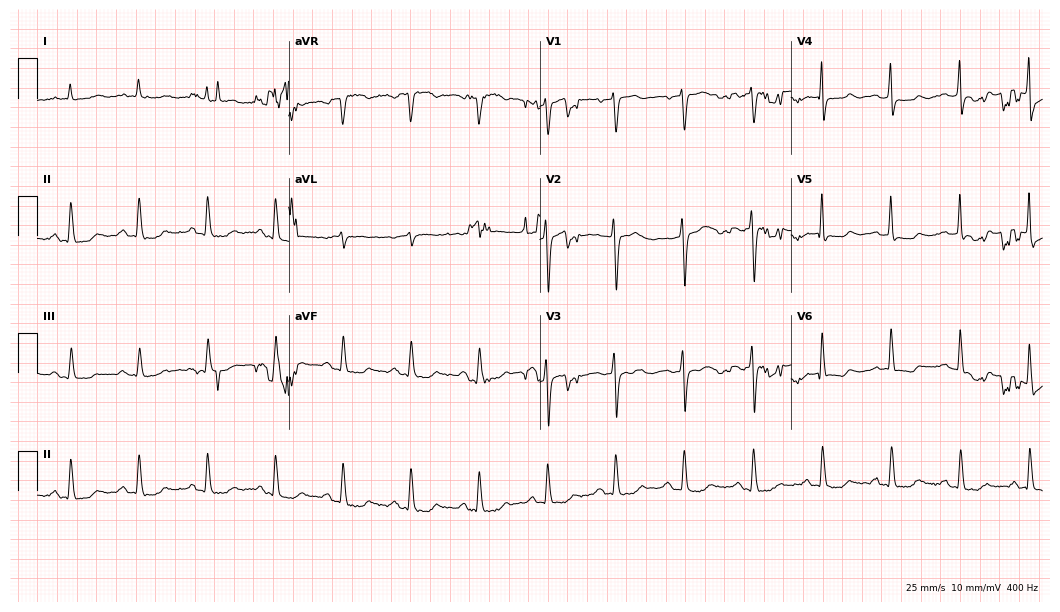
ECG — a woman, 70 years old. Screened for six findings — first-degree AV block, right bundle branch block, left bundle branch block, sinus bradycardia, atrial fibrillation, sinus tachycardia — none is recorded. Only these six findings were labelled.